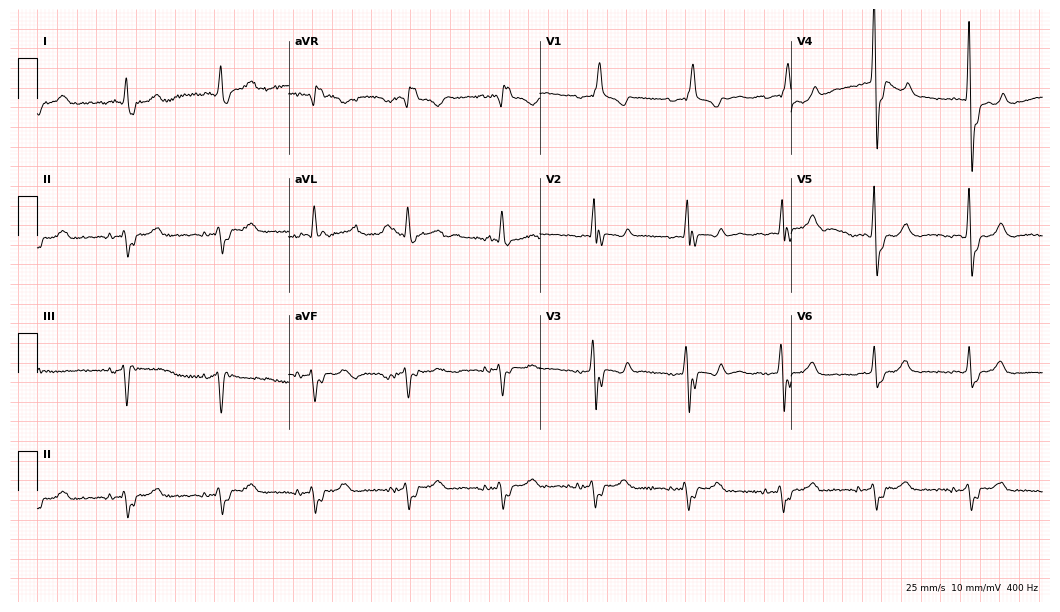
12-lead ECG from a 74-year-old male (10.2-second recording at 400 Hz). Shows right bundle branch block.